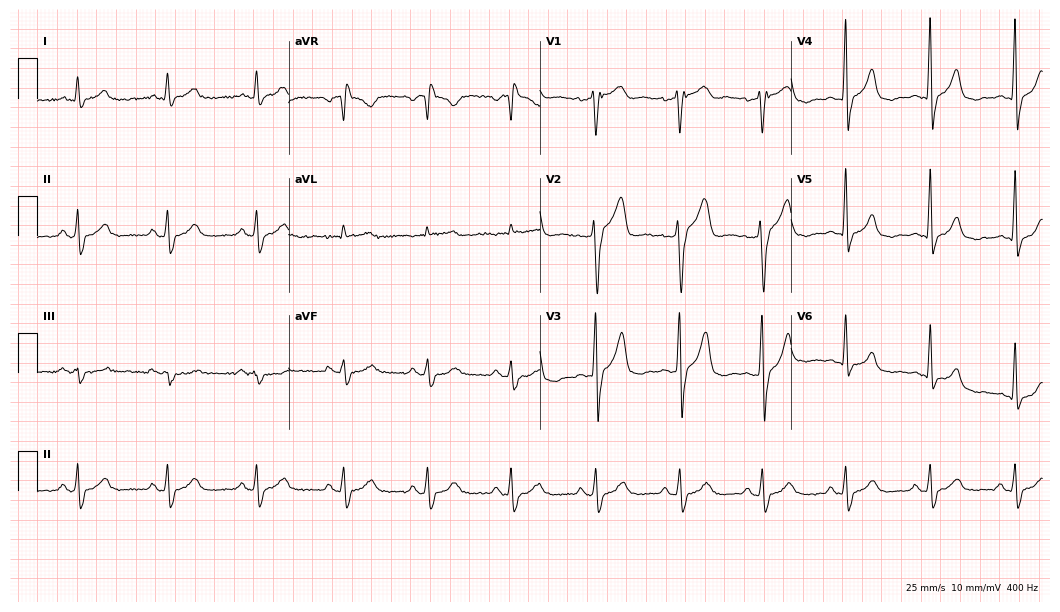
Resting 12-lead electrocardiogram (10.2-second recording at 400 Hz). Patient: a 68-year-old female. None of these six findings is recorded: first-degree AV block, right bundle branch block, left bundle branch block, sinus bradycardia, atrial fibrillation, sinus tachycardia. Findings outside these six are not listed.